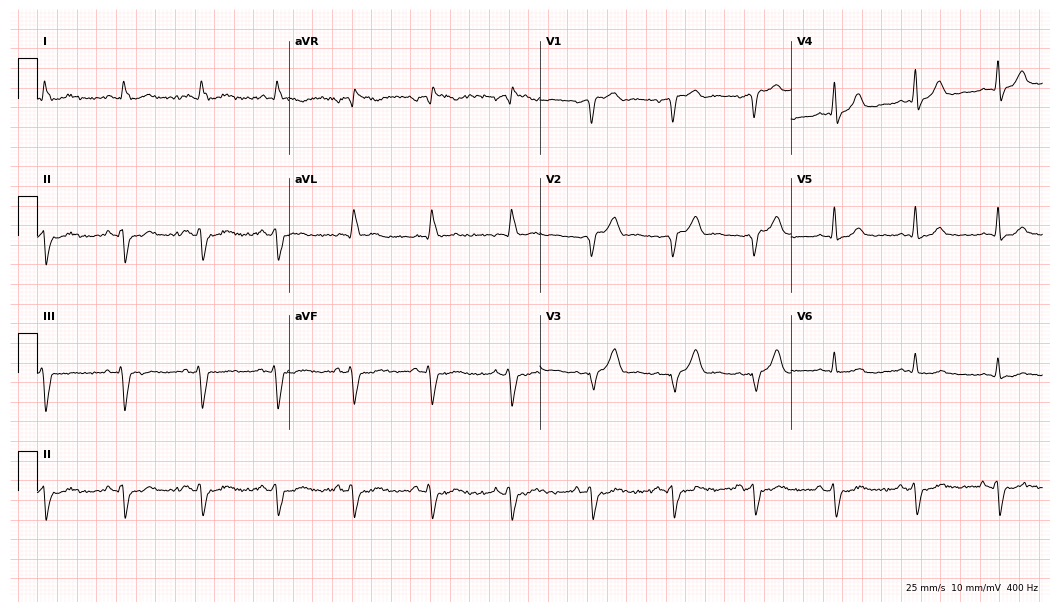
ECG (10.2-second recording at 400 Hz) — a 79-year-old man. Screened for six findings — first-degree AV block, right bundle branch block (RBBB), left bundle branch block (LBBB), sinus bradycardia, atrial fibrillation (AF), sinus tachycardia — none is recorded.